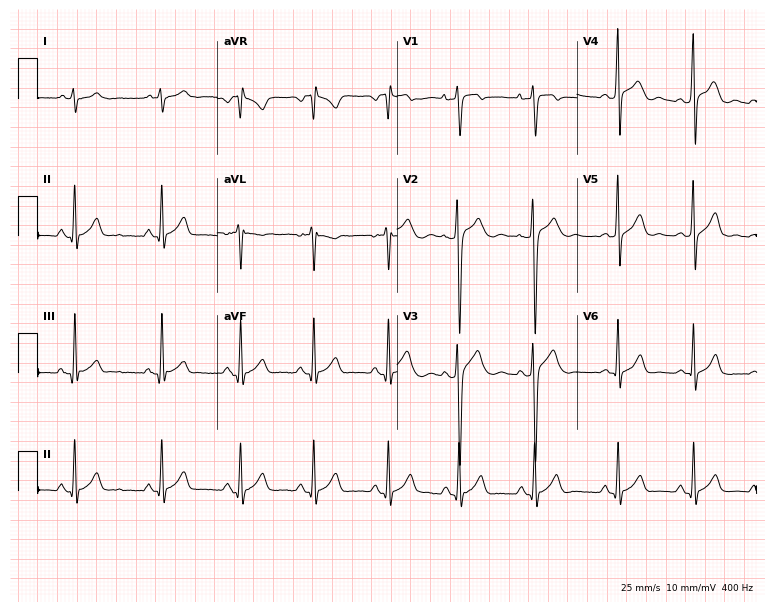
12-lead ECG from a 19-year-old male patient. Screened for six findings — first-degree AV block, right bundle branch block, left bundle branch block, sinus bradycardia, atrial fibrillation, sinus tachycardia — none is recorded.